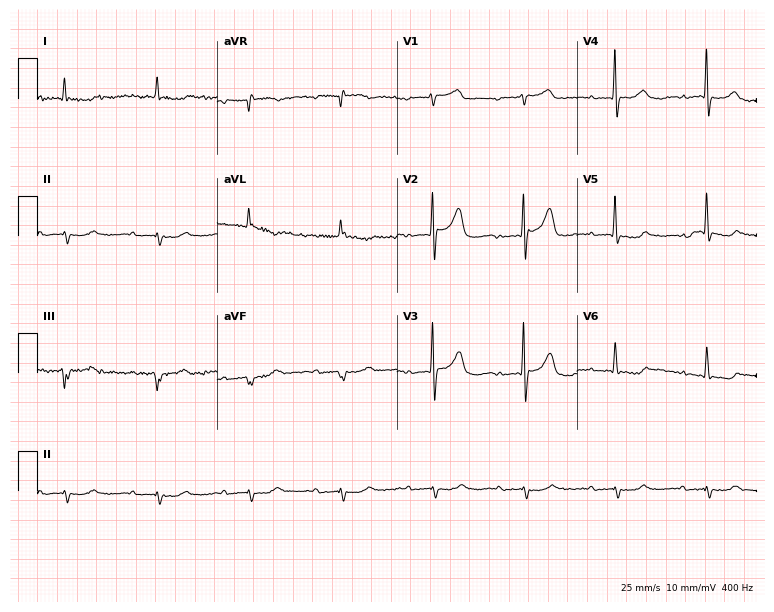
12-lead ECG from a man, 65 years old. Findings include first-degree AV block.